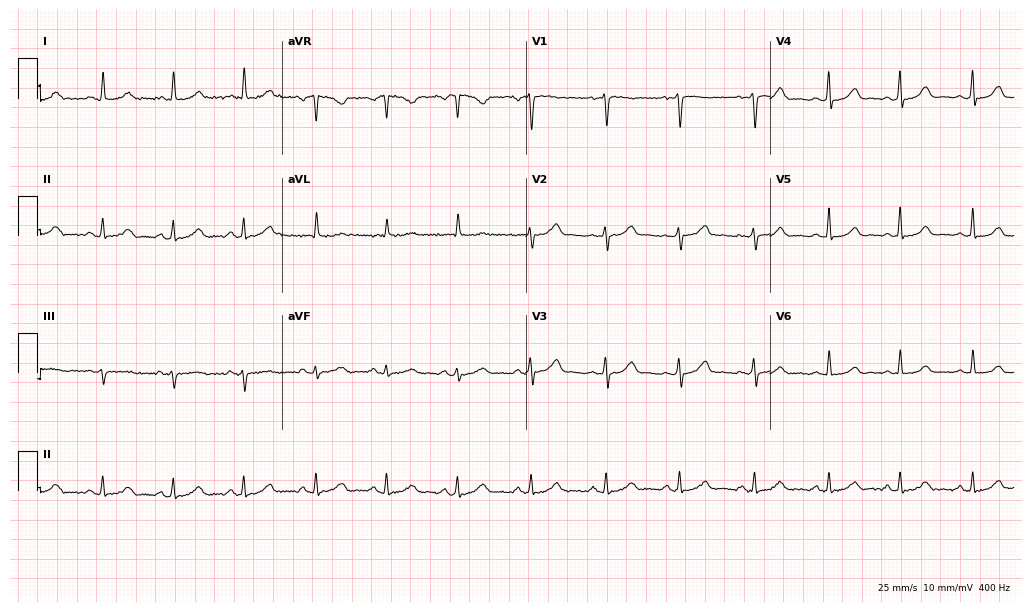
Resting 12-lead electrocardiogram (10-second recording at 400 Hz). Patient: a female, 55 years old. Read as a normal ECG.